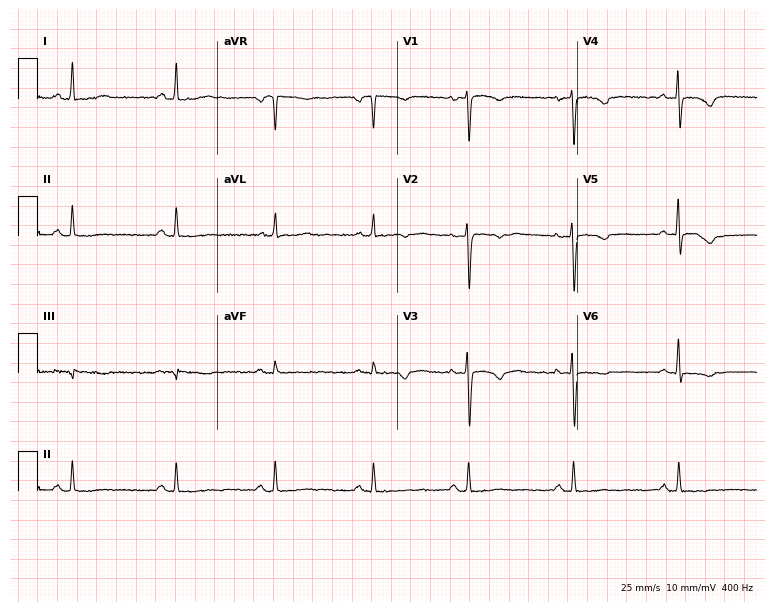
Resting 12-lead electrocardiogram. Patient: a female, 39 years old. None of these six findings is recorded: first-degree AV block, right bundle branch block, left bundle branch block, sinus bradycardia, atrial fibrillation, sinus tachycardia. Other findings, if any, are not listed.